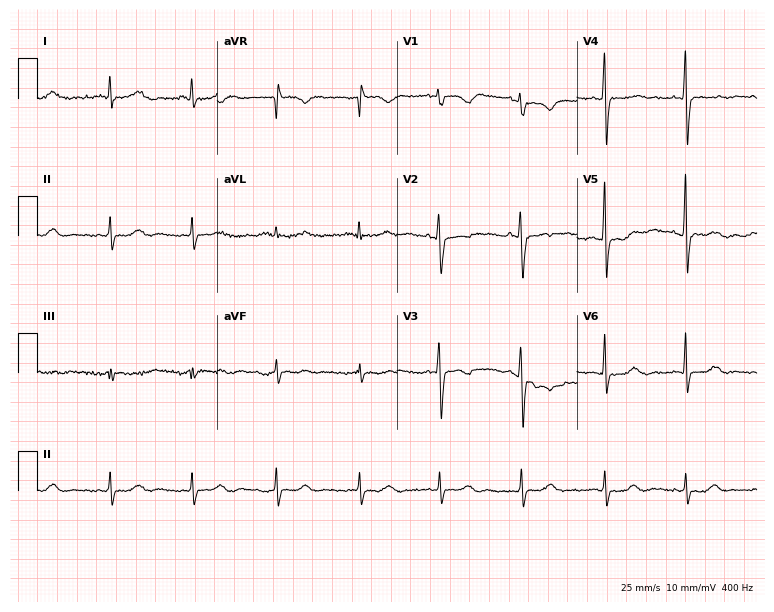
Standard 12-lead ECG recorded from a female patient, 61 years old (7.3-second recording at 400 Hz). None of these six findings is recorded: first-degree AV block, right bundle branch block (RBBB), left bundle branch block (LBBB), sinus bradycardia, atrial fibrillation (AF), sinus tachycardia.